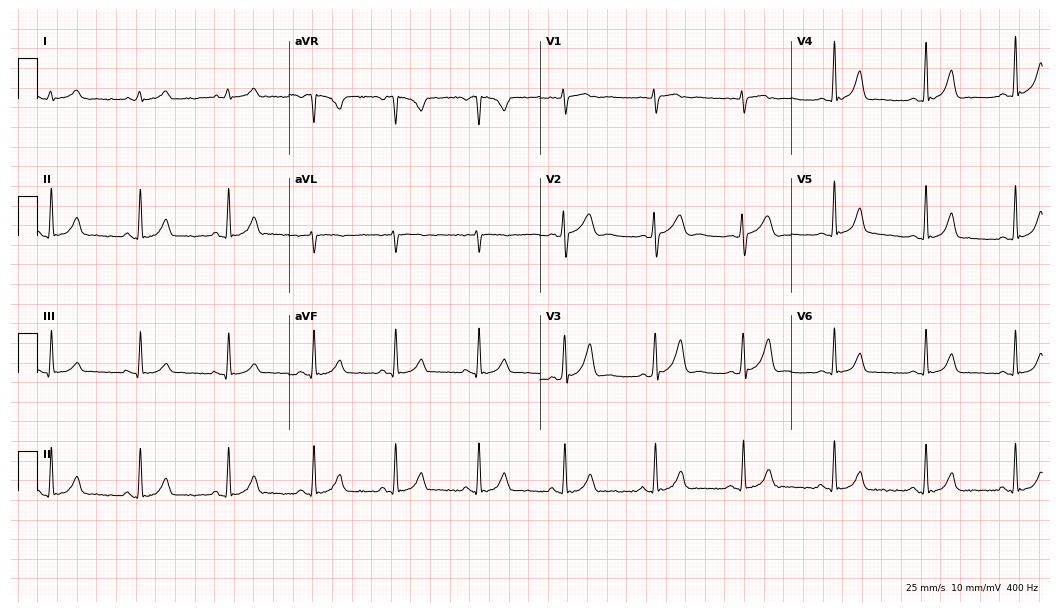
Resting 12-lead electrocardiogram. Patient: a 26-year-old woman. Read as a normal ECG.